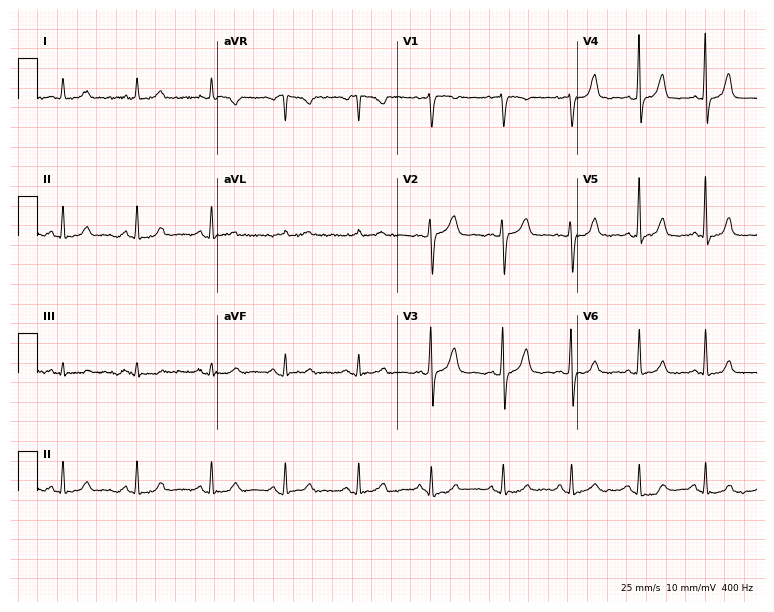
Electrocardiogram (7.3-second recording at 400 Hz), a 52-year-old woman. Overall reading on record: normal ECG.